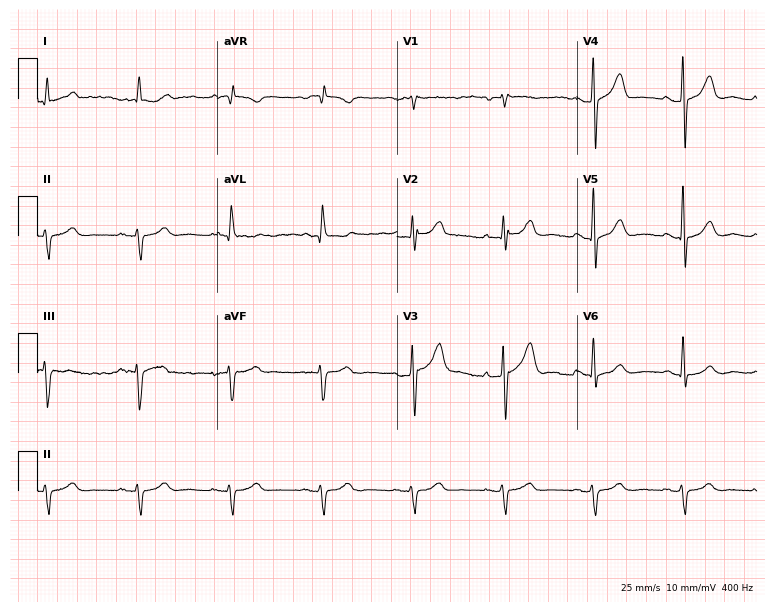
Standard 12-lead ECG recorded from a 74-year-old male (7.3-second recording at 400 Hz). None of these six findings is recorded: first-degree AV block, right bundle branch block (RBBB), left bundle branch block (LBBB), sinus bradycardia, atrial fibrillation (AF), sinus tachycardia.